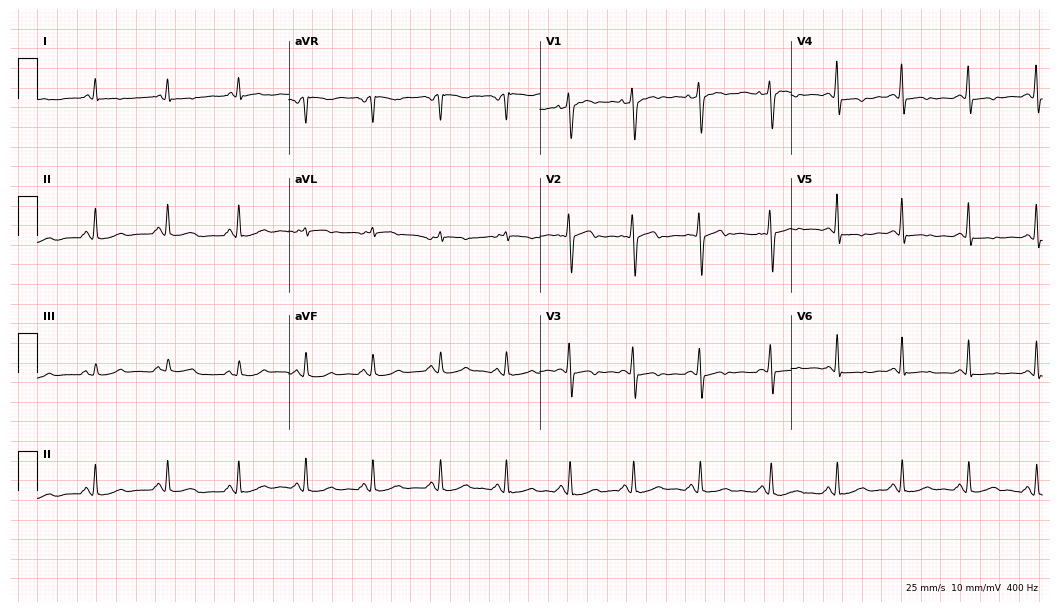
12-lead ECG (10.2-second recording at 400 Hz) from a 33-year-old woman. Screened for six findings — first-degree AV block, right bundle branch block (RBBB), left bundle branch block (LBBB), sinus bradycardia, atrial fibrillation (AF), sinus tachycardia — none is recorded. Findings outside these six are not listed.